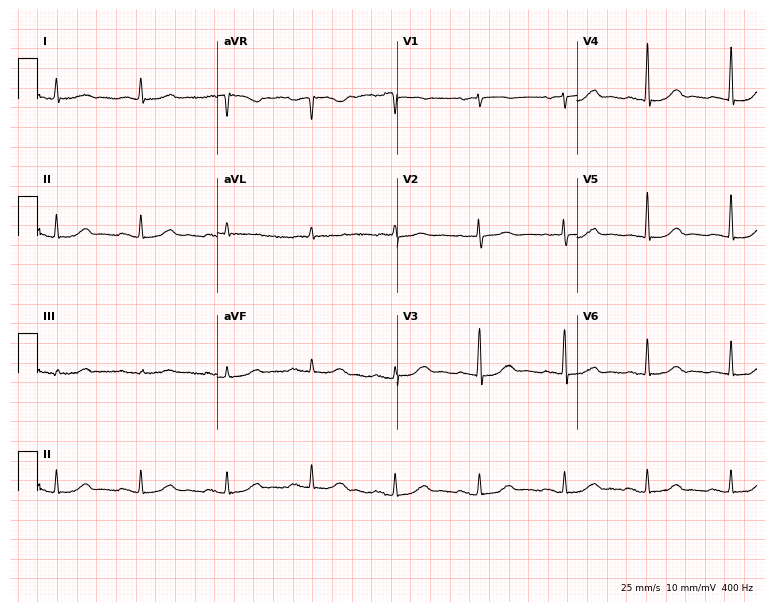
12-lead ECG from a female, 84 years old. Recorded interpretation: within normal limits.